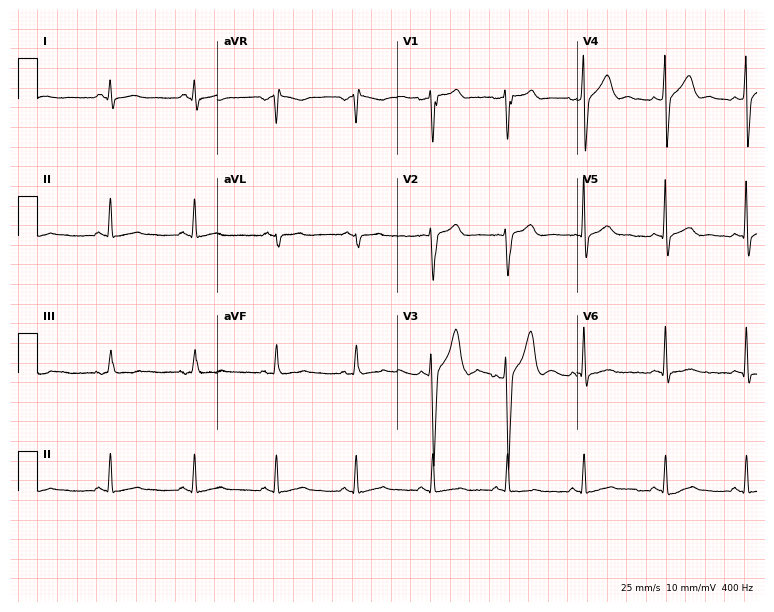
12-lead ECG (7.3-second recording at 400 Hz) from a 39-year-old male. Screened for six findings — first-degree AV block, right bundle branch block, left bundle branch block, sinus bradycardia, atrial fibrillation, sinus tachycardia — none is recorded.